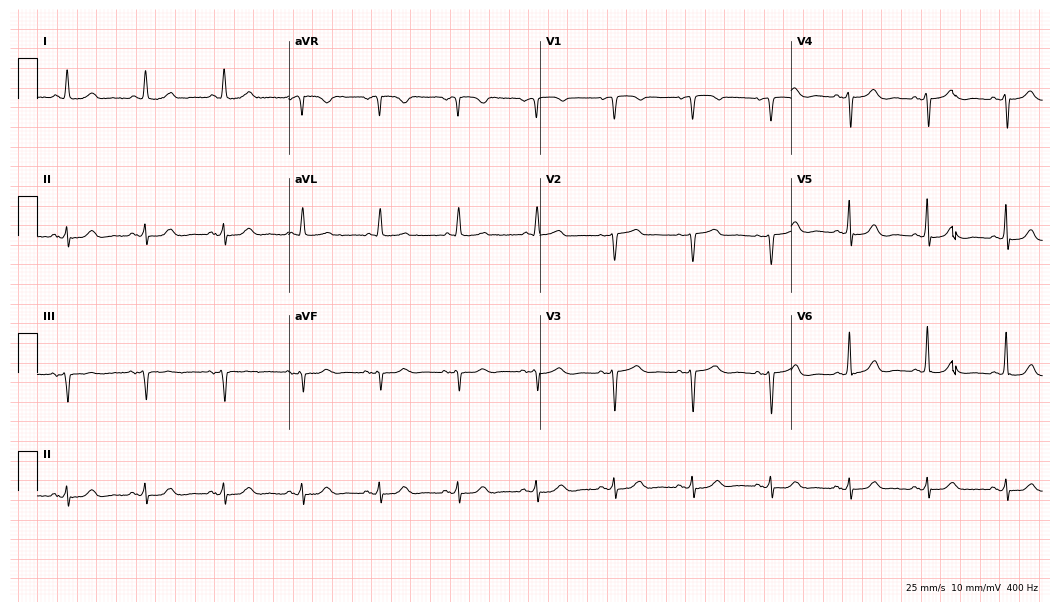
ECG (10.2-second recording at 400 Hz) — a woman, 84 years old. Screened for six findings — first-degree AV block, right bundle branch block, left bundle branch block, sinus bradycardia, atrial fibrillation, sinus tachycardia — none is recorded.